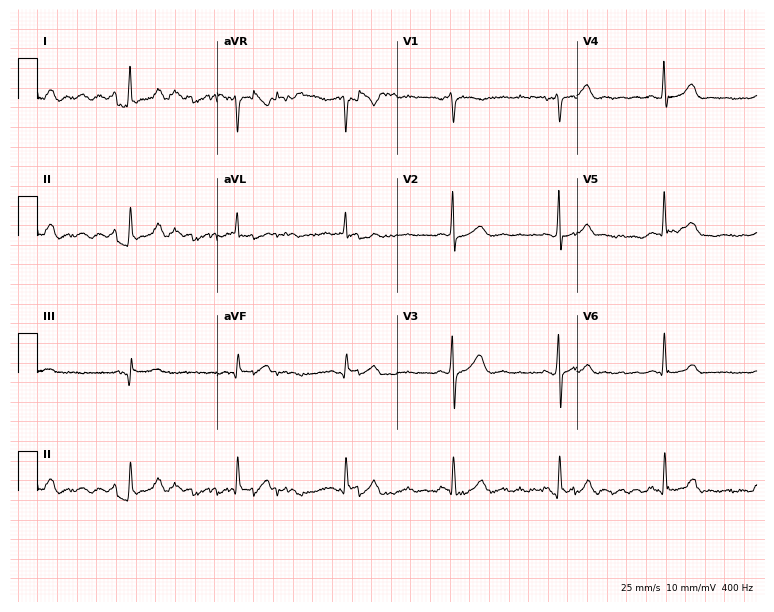
Standard 12-lead ECG recorded from a man, 65 years old. None of these six findings is recorded: first-degree AV block, right bundle branch block, left bundle branch block, sinus bradycardia, atrial fibrillation, sinus tachycardia. Only these six findings were labelled.